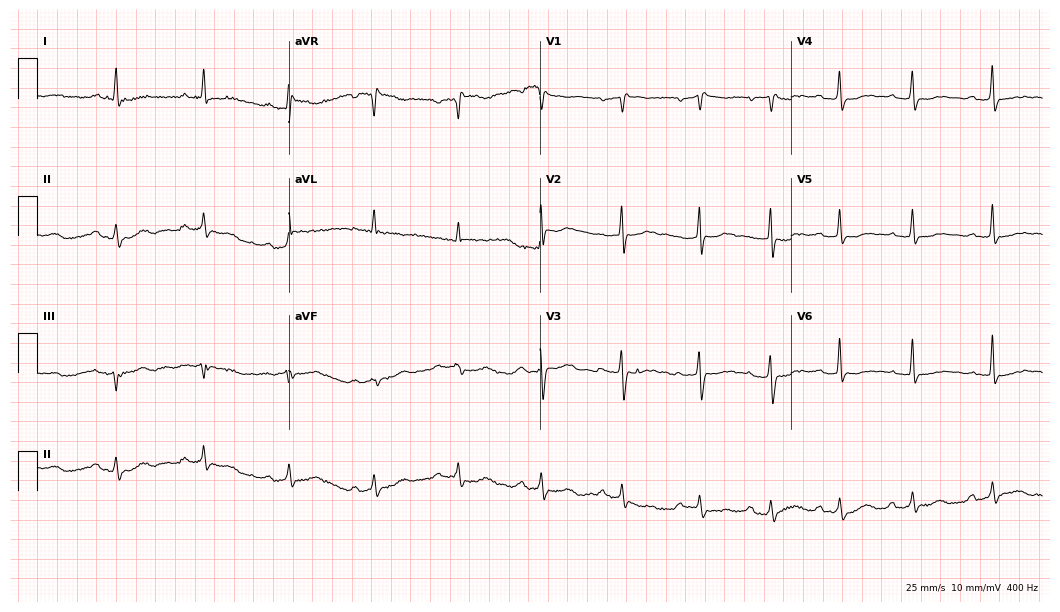
ECG (10.2-second recording at 400 Hz) — a female patient, 55 years old. Screened for six findings — first-degree AV block, right bundle branch block, left bundle branch block, sinus bradycardia, atrial fibrillation, sinus tachycardia — none is recorded. Findings outside these six are not listed.